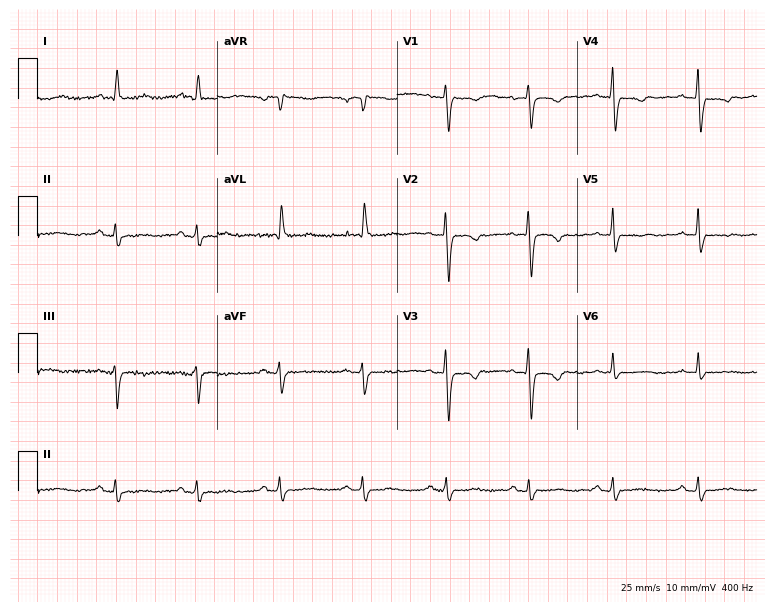
12-lead ECG (7.3-second recording at 400 Hz) from a 70-year-old female patient. Screened for six findings — first-degree AV block, right bundle branch block (RBBB), left bundle branch block (LBBB), sinus bradycardia, atrial fibrillation (AF), sinus tachycardia — none is recorded. Only these six findings were labelled.